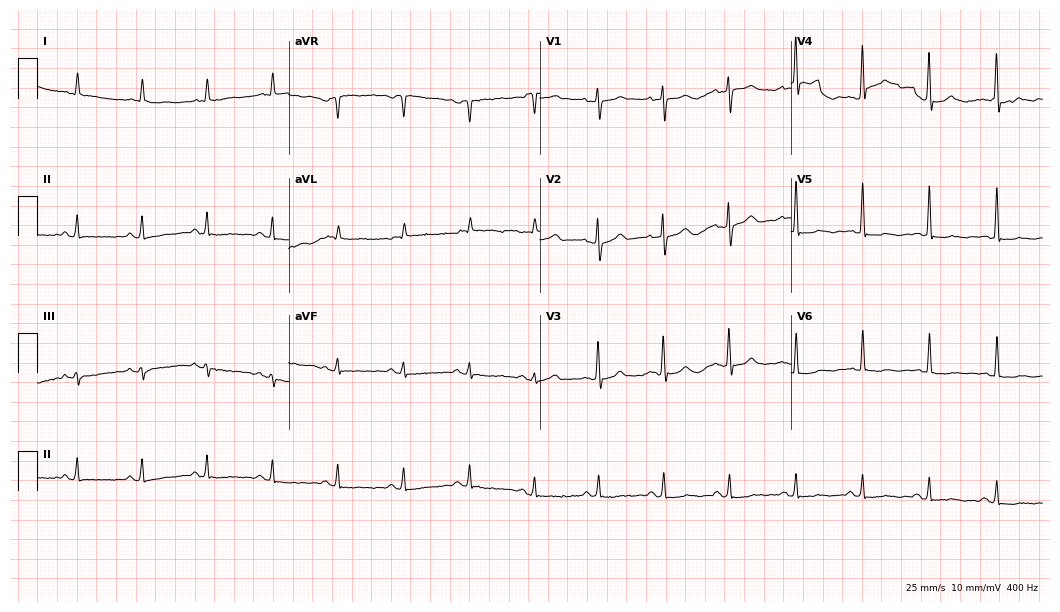
12-lead ECG (10.2-second recording at 400 Hz) from an 83-year-old woman. Screened for six findings — first-degree AV block, right bundle branch block, left bundle branch block, sinus bradycardia, atrial fibrillation, sinus tachycardia — none is recorded. Only these six findings were labelled.